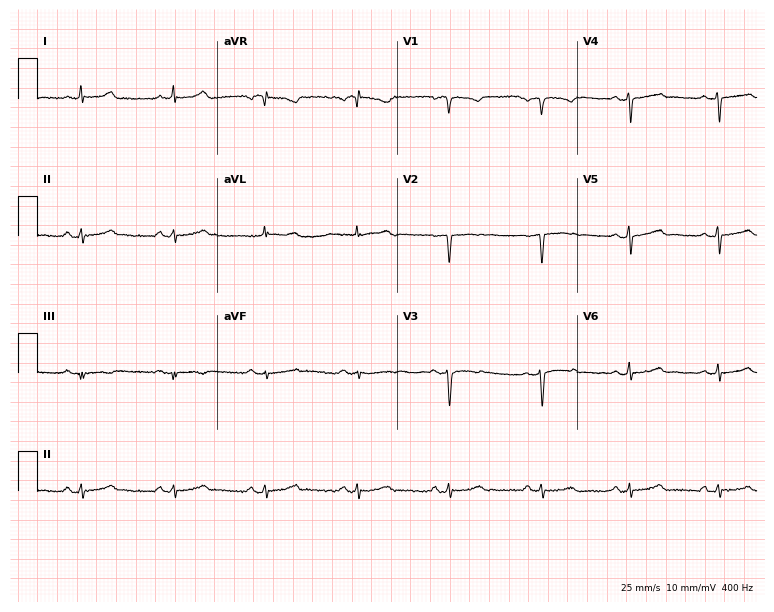
Standard 12-lead ECG recorded from a female patient, 51 years old. None of these six findings is recorded: first-degree AV block, right bundle branch block, left bundle branch block, sinus bradycardia, atrial fibrillation, sinus tachycardia. Findings outside these six are not listed.